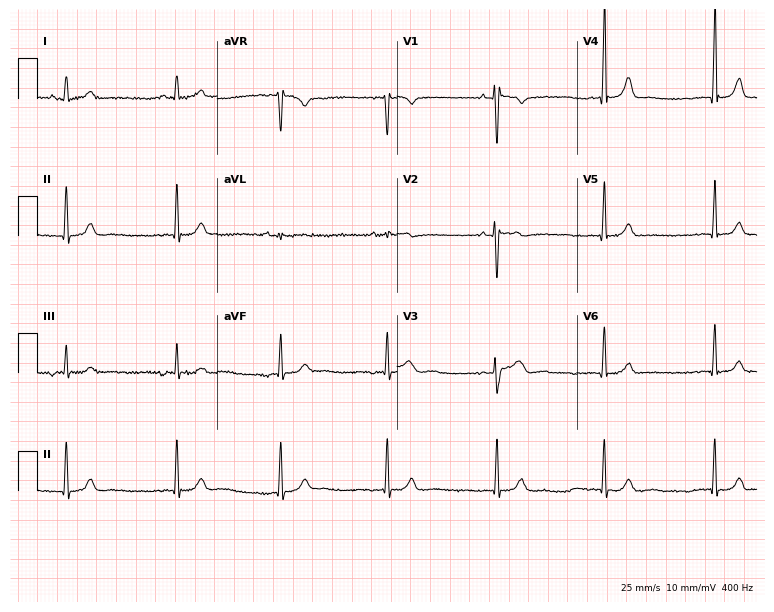
12-lead ECG from a female, 19 years old. Recorded interpretation: within normal limits.